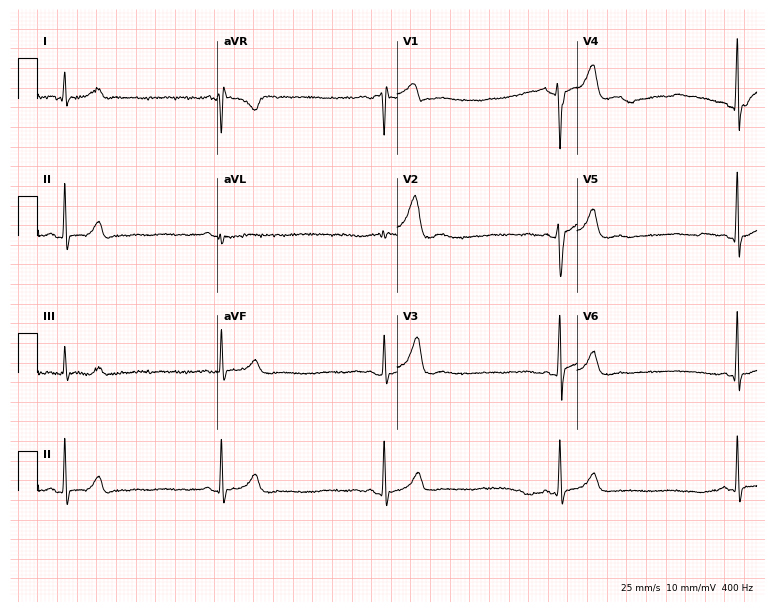
Standard 12-lead ECG recorded from a woman, 24 years old (7.3-second recording at 400 Hz). The tracing shows sinus bradycardia (a sinus rate of 50 beats per minute or less).